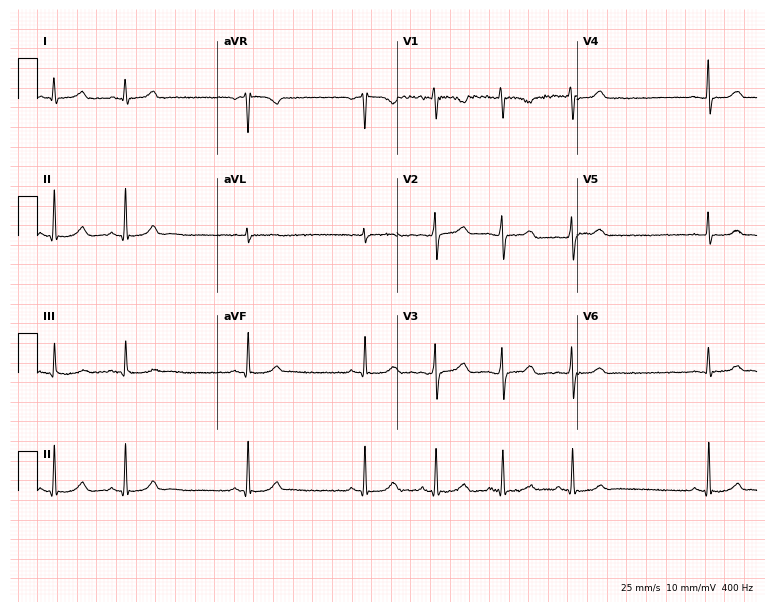
Resting 12-lead electrocardiogram (7.3-second recording at 400 Hz). Patient: a female, 17 years old. None of these six findings is recorded: first-degree AV block, right bundle branch block, left bundle branch block, sinus bradycardia, atrial fibrillation, sinus tachycardia. Only these six findings were labelled.